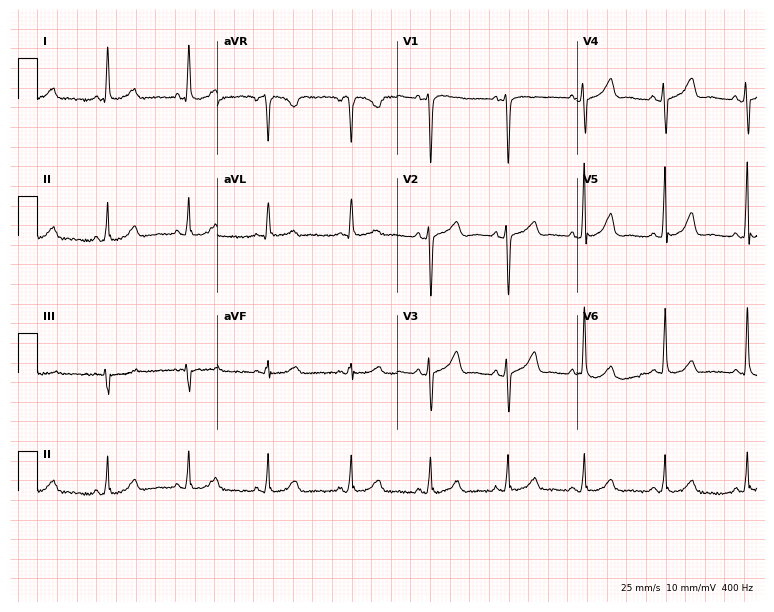
Resting 12-lead electrocardiogram. Patient: a woman, 73 years old. Read as a normal ECG.